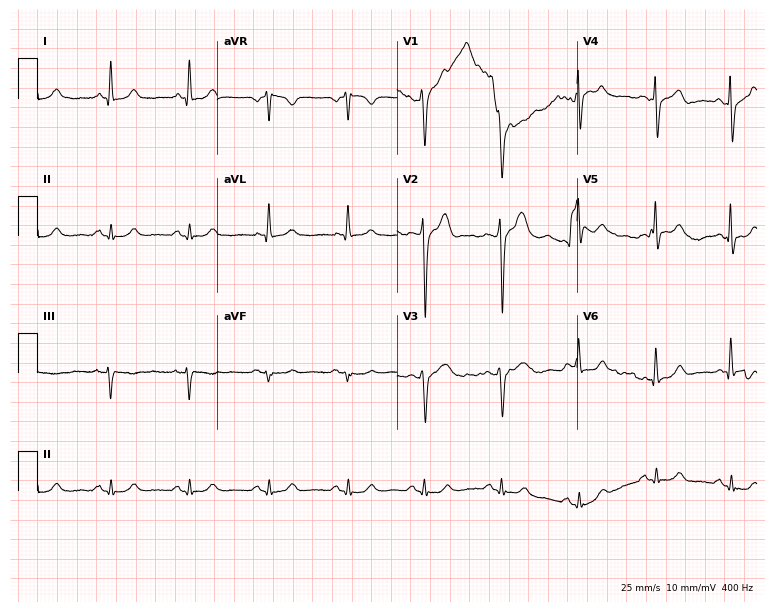
Resting 12-lead electrocardiogram (7.3-second recording at 400 Hz). Patient: a 58-year-old male. Read as a normal ECG.